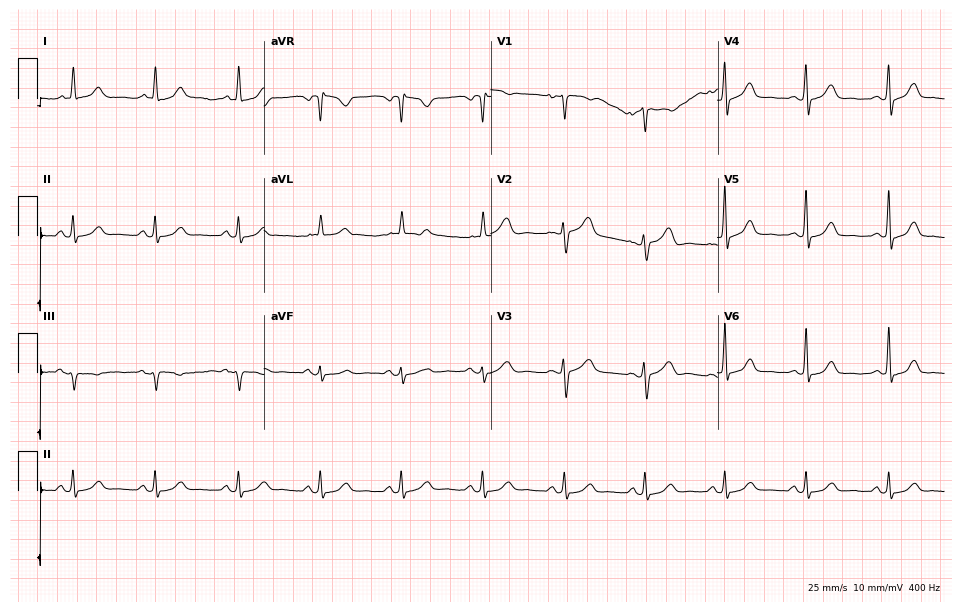
Electrocardiogram, a female, 51 years old. Overall reading on record: normal ECG.